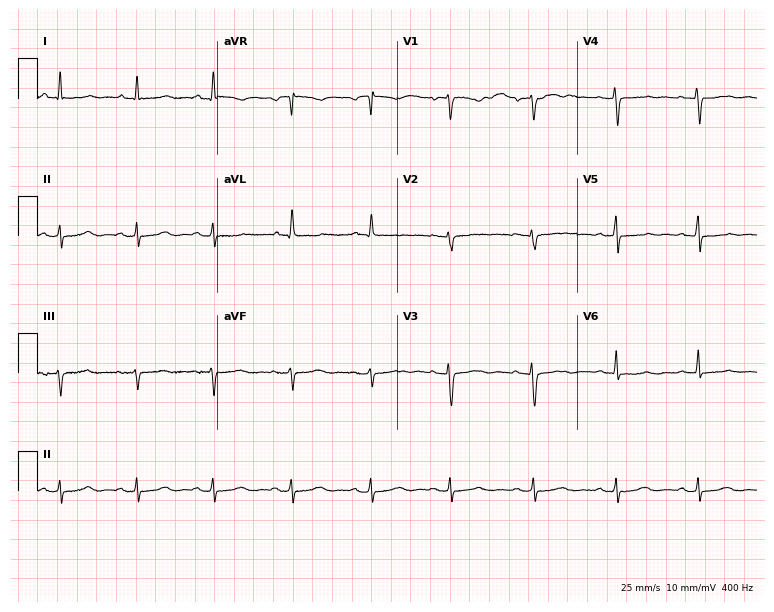
Resting 12-lead electrocardiogram (7.3-second recording at 400 Hz). Patient: a 44-year-old female. None of these six findings is recorded: first-degree AV block, right bundle branch block (RBBB), left bundle branch block (LBBB), sinus bradycardia, atrial fibrillation (AF), sinus tachycardia. Other findings, if any, are not listed.